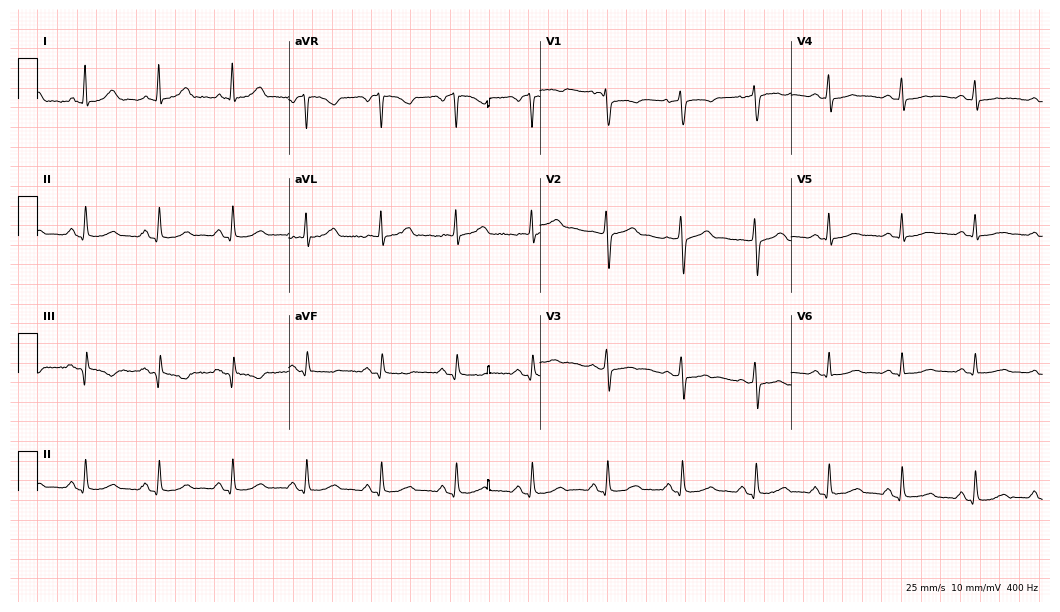
Resting 12-lead electrocardiogram (10.2-second recording at 400 Hz). Patient: a 46-year-old female. None of these six findings is recorded: first-degree AV block, right bundle branch block (RBBB), left bundle branch block (LBBB), sinus bradycardia, atrial fibrillation (AF), sinus tachycardia. Other findings, if any, are not listed.